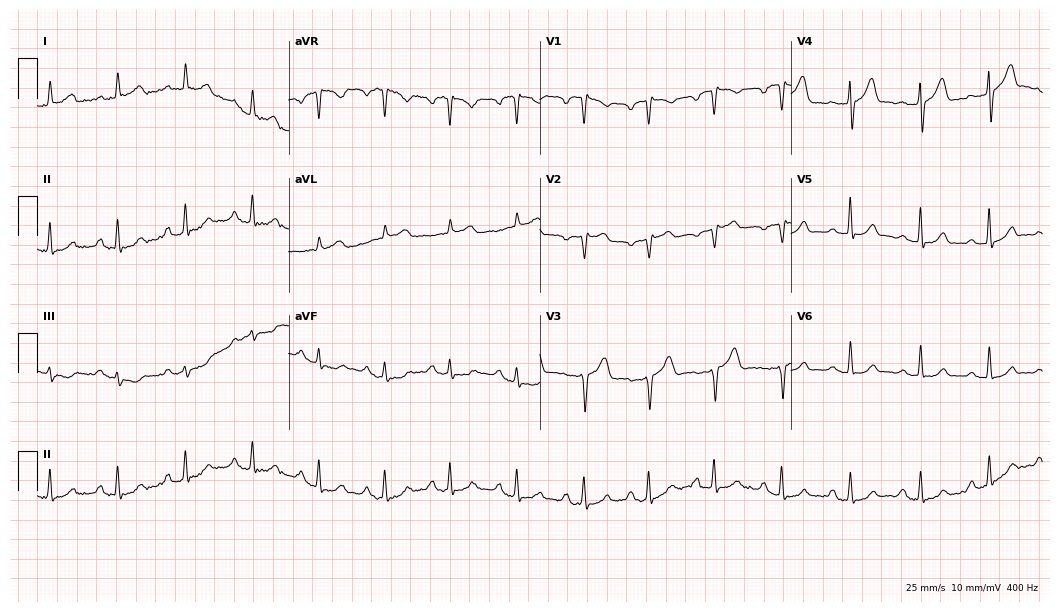
12-lead ECG (10.2-second recording at 400 Hz) from a female patient, 46 years old. Screened for six findings — first-degree AV block, right bundle branch block (RBBB), left bundle branch block (LBBB), sinus bradycardia, atrial fibrillation (AF), sinus tachycardia — none is recorded.